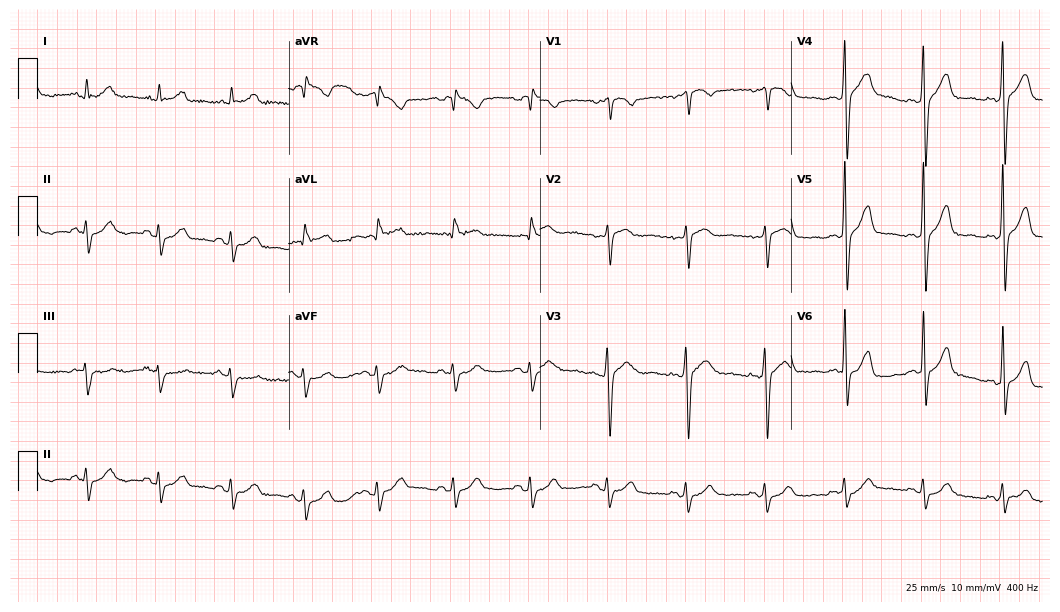
Standard 12-lead ECG recorded from a female, 60 years old (10.2-second recording at 400 Hz). None of these six findings is recorded: first-degree AV block, right bundle branch block (RBBB), left bundle branch block (LBBB), sinus bradycardia, atrial fibrillation (AF), sinus tachycardia.